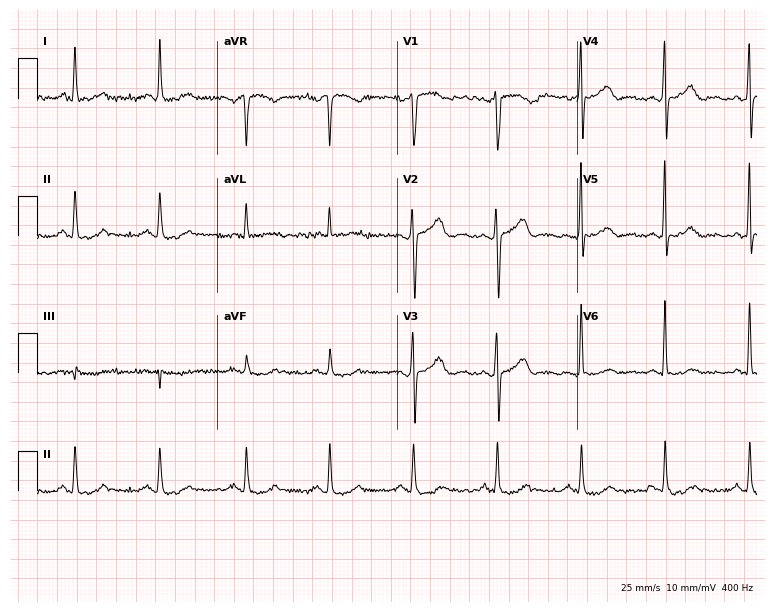
Resting 12-lead electrocardiogram. Patient: a 43-year-old woman. Read as a normal ECG.